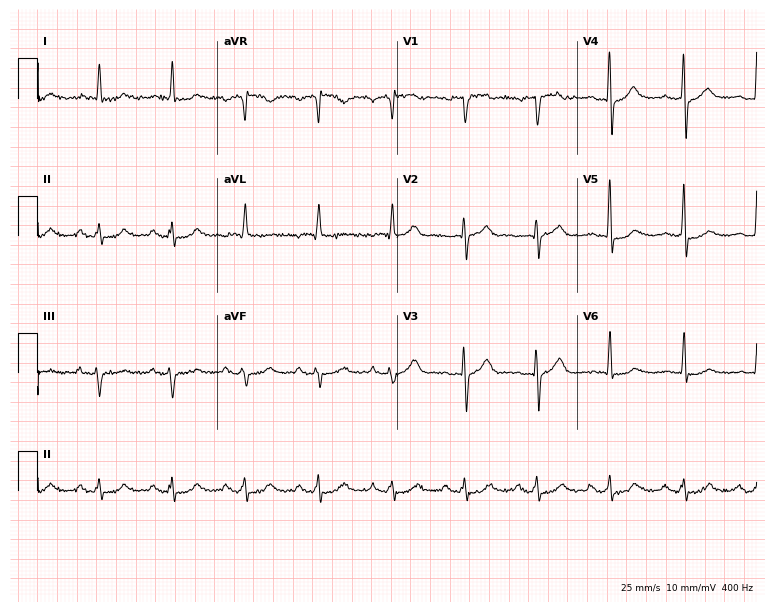
12-lead ECG from a 63-year-old male. Screened for six findings — first-degree AV block, right bundle branch block, left bundle branch block, sinus bradycardia, atrial fibrillation, sinus tachycardia — none is recorded.